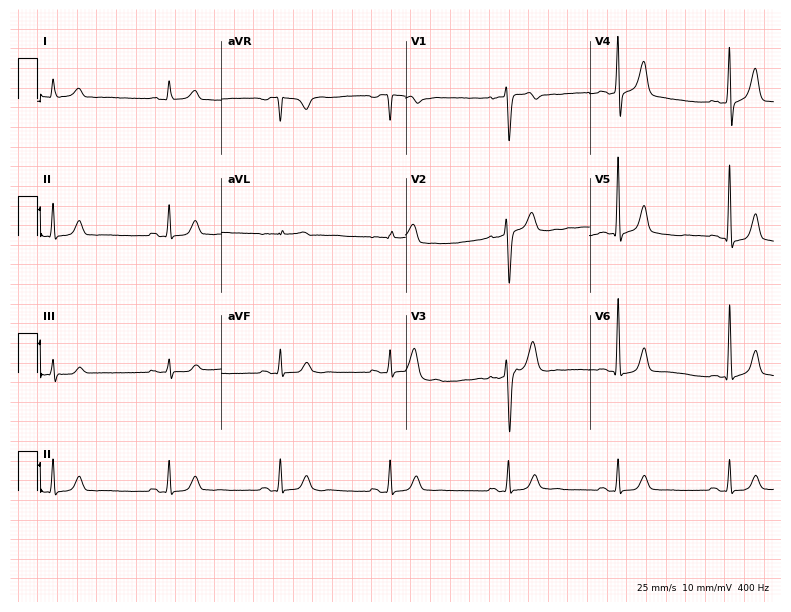
Standard 12-lead ECG recorded from a 62-year-old male (7.5-second recording at 400 Hz). None of these six findings is recorded: first-degree AV block, right bundle branch block (RBBB), left bundle branch block (LBBB), sinus bradycardia, atrial fibrillation (AF), sinus tachycardia. Only these six findings were labelled.